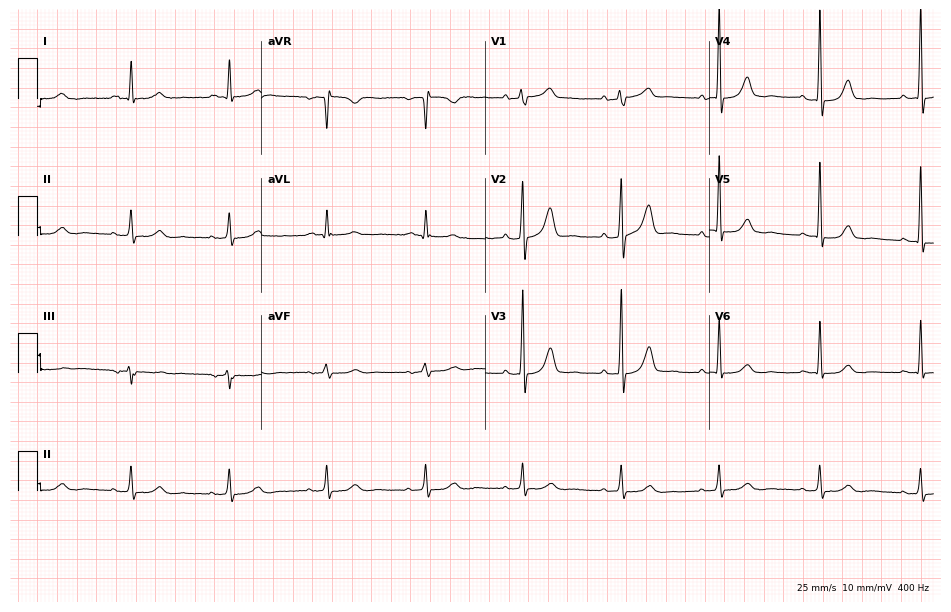
Resting 12-lead electrocardiogram. Patient: a man, 73 years old. Read as a normal ECG.